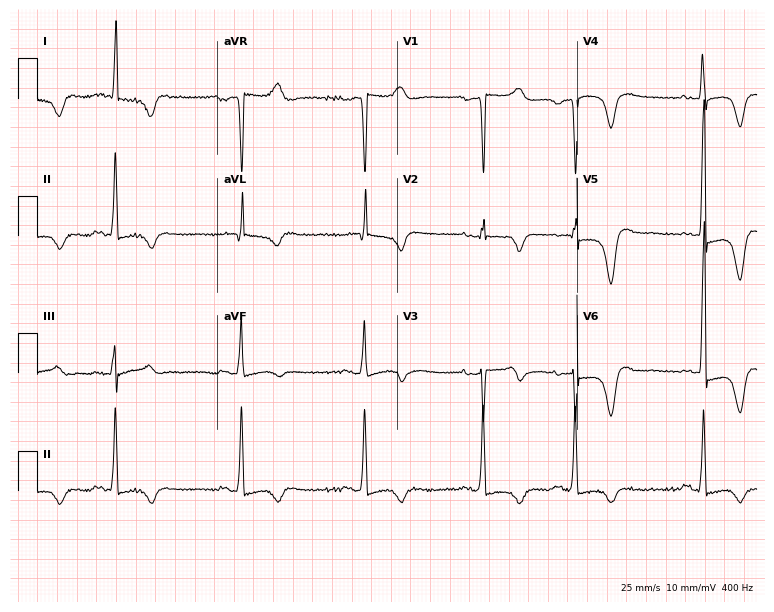
Electrocardiogram, a woman, 84 years old. Interpretation includes sinus bradycardia (a sinus rate of 50 beats per minute or less).